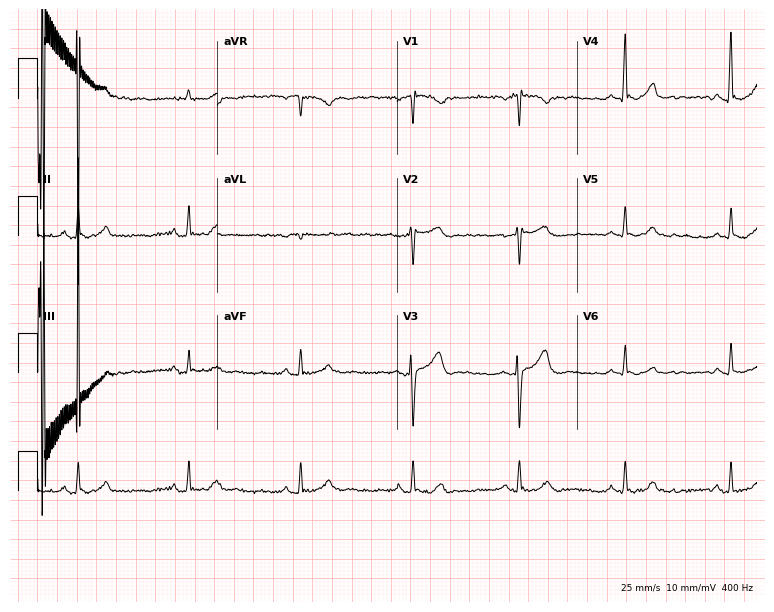
Electrocardiogram, a 70-year-old woman. Of the six screened findings (first-degree AV block, right bundle branch block, left bundle branch block, sinus bradycardia, atrial fibrillation, sinus tachycardia), none is recorded.